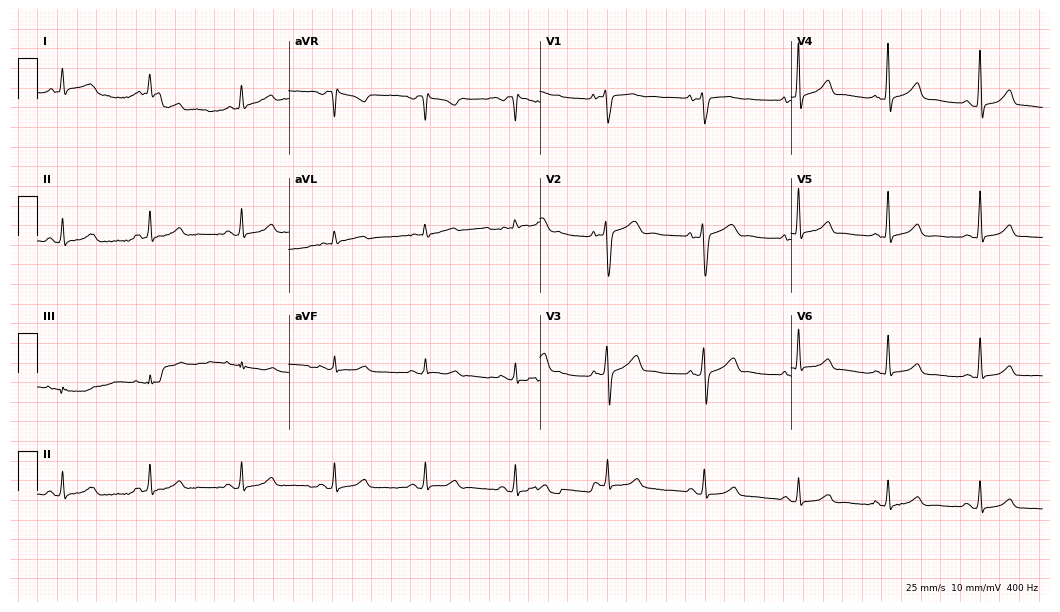
Standard 12-lead ECG recorded from a 32-year-old female. Read as a normal ECG.